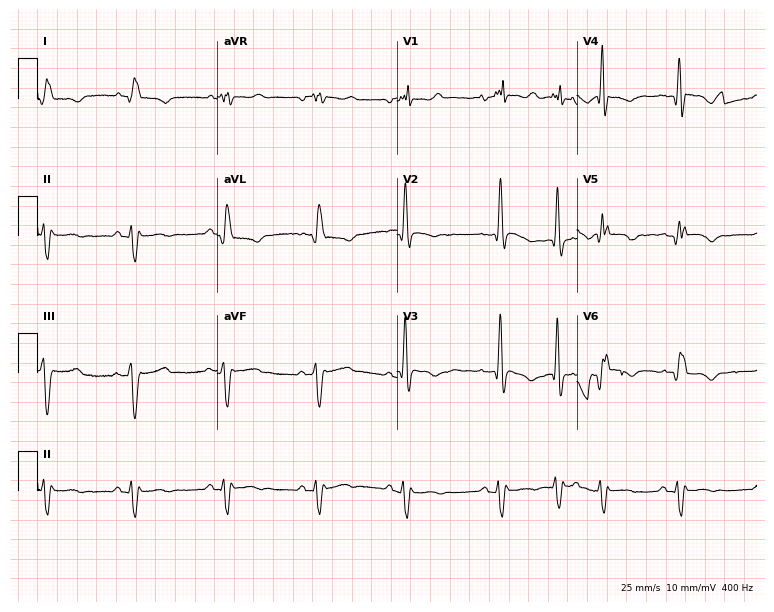
Resting 12-lead electrocardiogram (7.3-second recording at 400 Hz). Patient: a female, 49 years old. None of these six findings is recorded: first-degree AV block, right bundle branch block, left bundle branch block, sinus bradycardia, atrial fibrillation, sinus tachycardia.